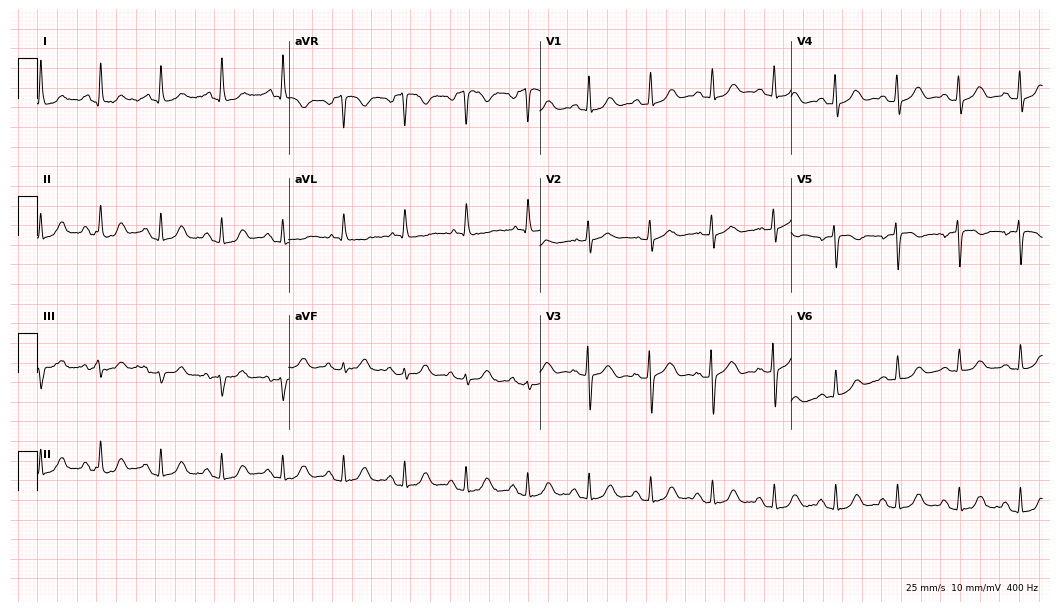
ECG (10.2-second recording at 400 Hz) — a 67-year-old female. Screened for six findings — first-degree AV block, right bundle branch block, left bundle branch block, sinus bradycardia, atrial fibrillation, sinus tachycardia — none is recorded. Other findings, if any, are not listed.